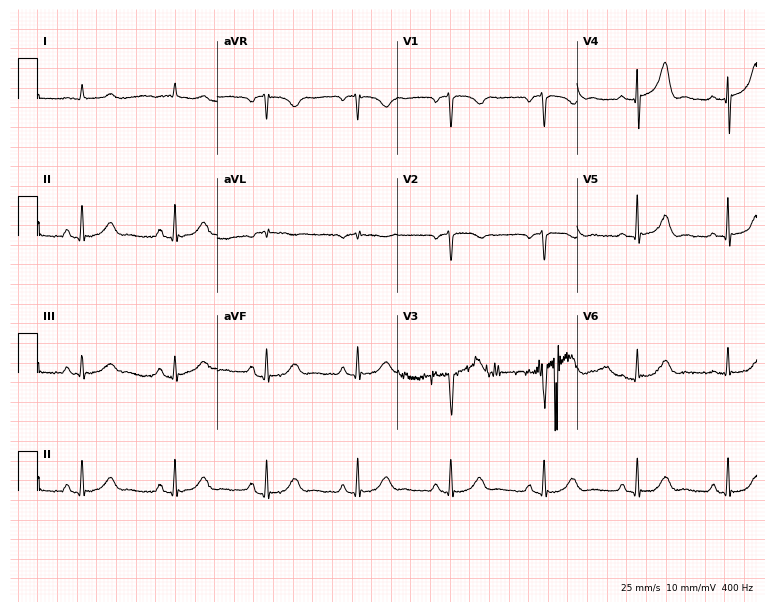
ECG (7.3-second recording at 400 Hz) — a male patient, 71 years old. Screened for six findings — first-degree AV block, right bundle branch block, left bundle branch block, sinus bradycardia, atrial fibrillation, sinus tachycardia — none is recorded. Only these six findings were labelled.